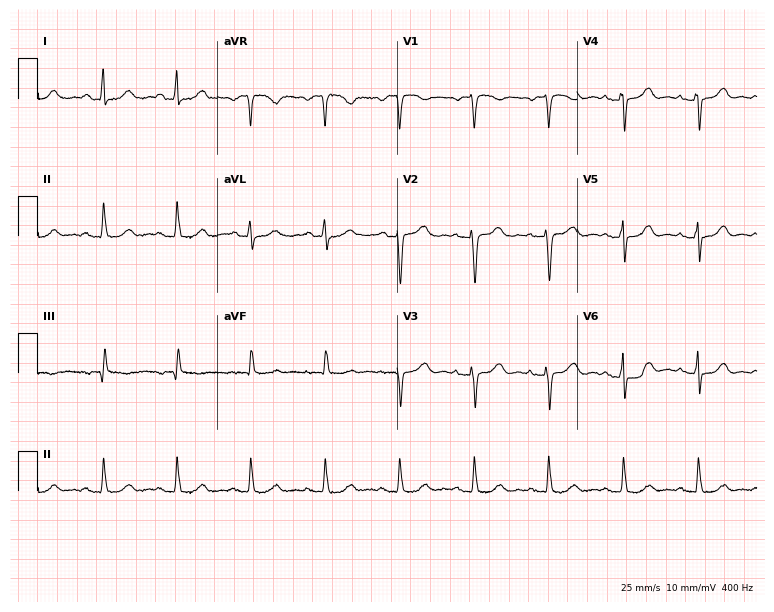
12-lead ECG (7.3-second recording at 400 Hz) from a 49-year-old female patient. Screened for six findings — first-degree AV block, right bundle branch block (RBBB), left bundle branch block (LBBB), sinus bradycardia, atrial fibrillation (AF), sinus tachycardia — none is recorded. Findings outside these six are not listed.